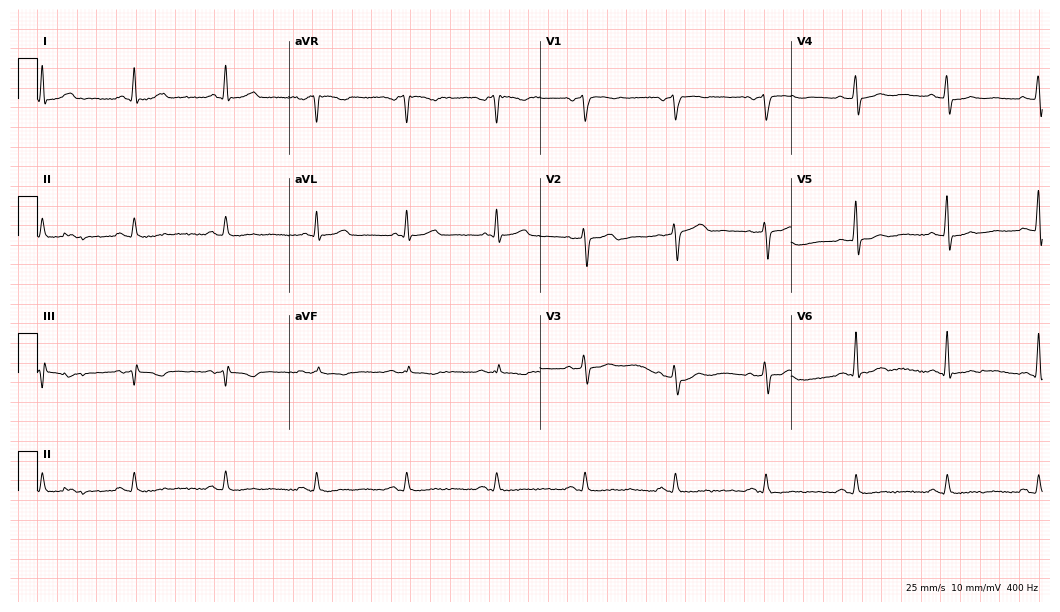
Electrocardiogram, a female patient, 32 years old. Of the six screened findings (first-degree AV block, right bundle branch block, left bundle branch block, sinus bradycardia, atrial fibrillation, sinus tachycardia), none is recorded.